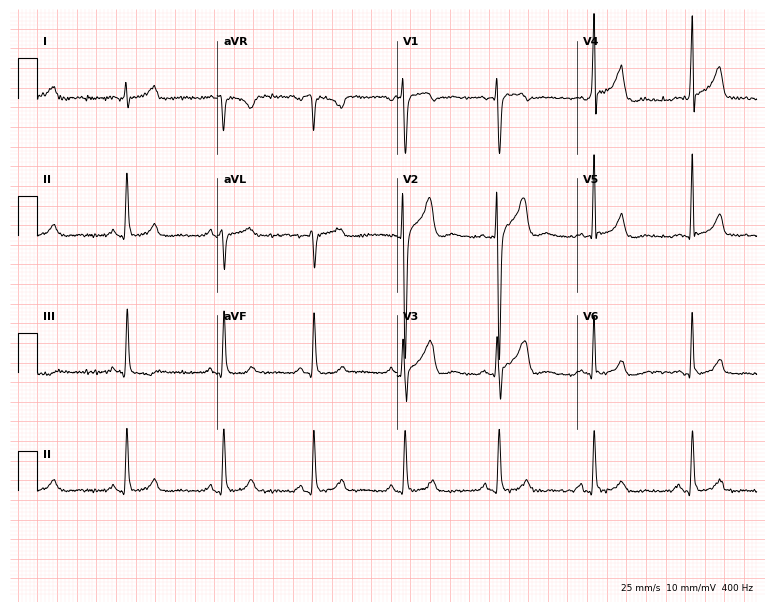
Resting 12-lead electrocardiogram. Patient: a man, 35 years old. Read as a normal ECG.